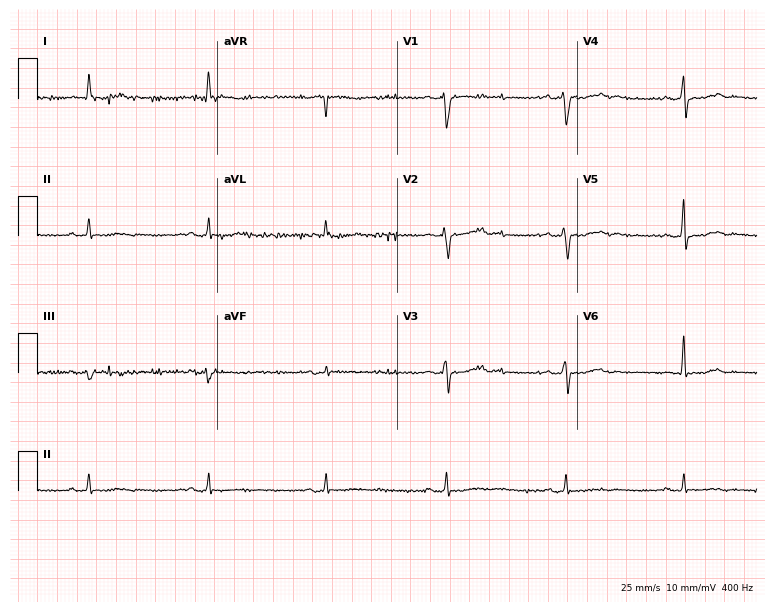
Resting 12-lead electrocardiogram (7.3-second recording at 400 Hz). Patient: an 80-year-old woman. None of these six findings is recorded: first-degree AV block, right bundle branch block, left bundle branch block, sinus bradycardia, atrial fibrillation, sinus tachycardia. Only these six findings were labelled.